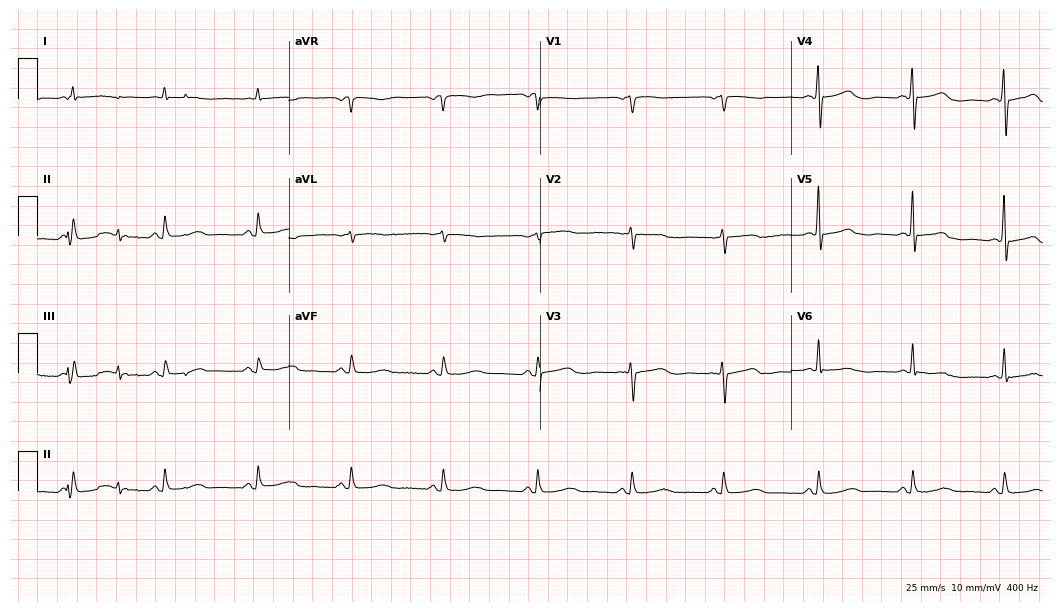
Standard 12-lead ECG recorded from an 81-year-old female. None of these six findings is recorded: first-degree AV block, right bundle branch block, left bundle branch block, sinus bradycardia, atrial fibrillation, sinus tachycardia.